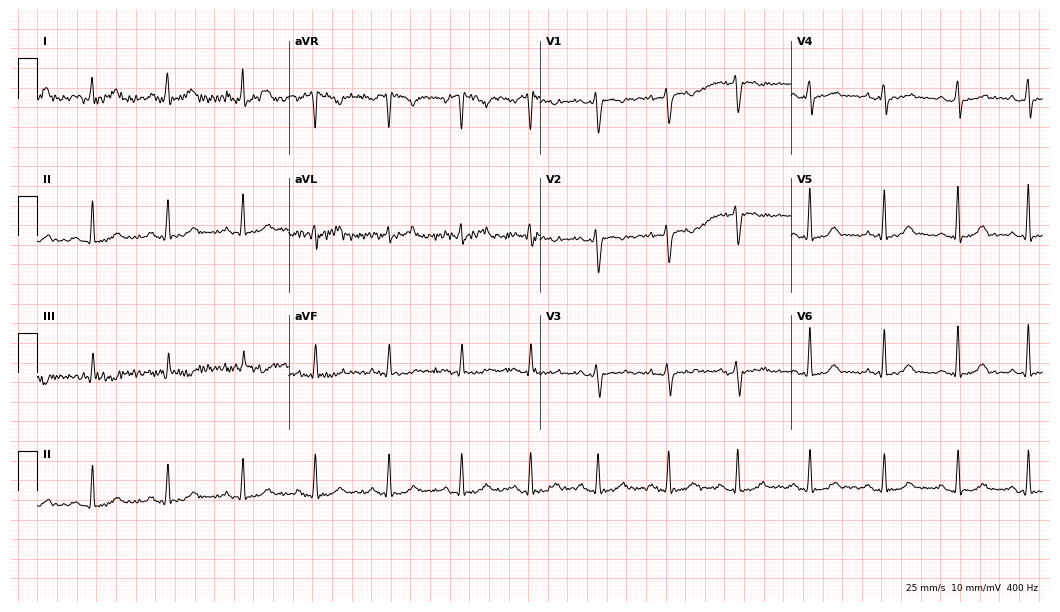
12-lead ECG from a female, 26 years old. Recorded interpretation: within normal limits.